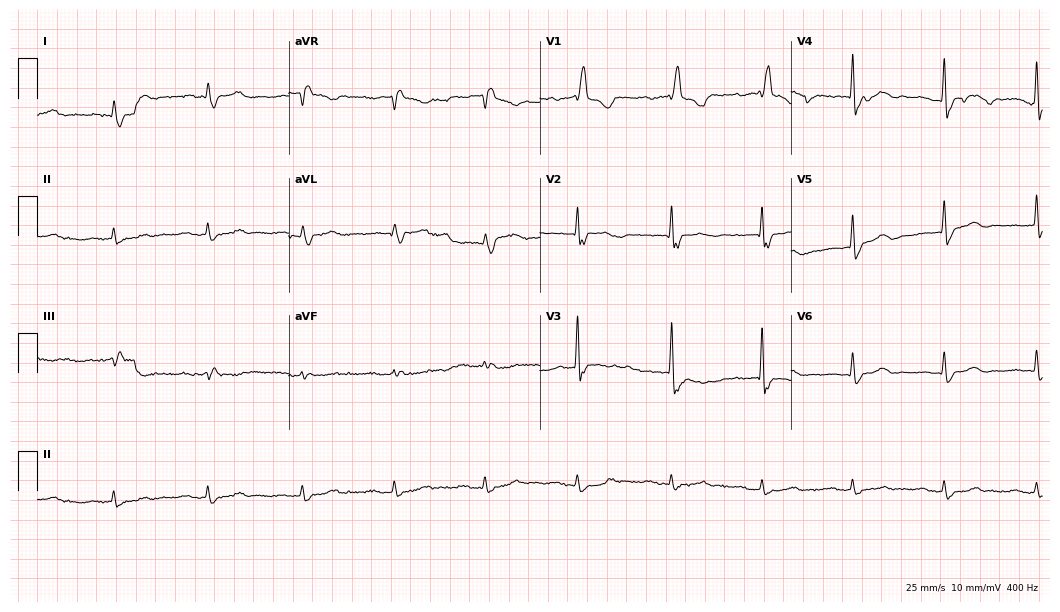
12-lead ECG (10.2-second recording at 400 Hz) from a 77-year-old male patient. Findings include right bundle branch block (RBBB).